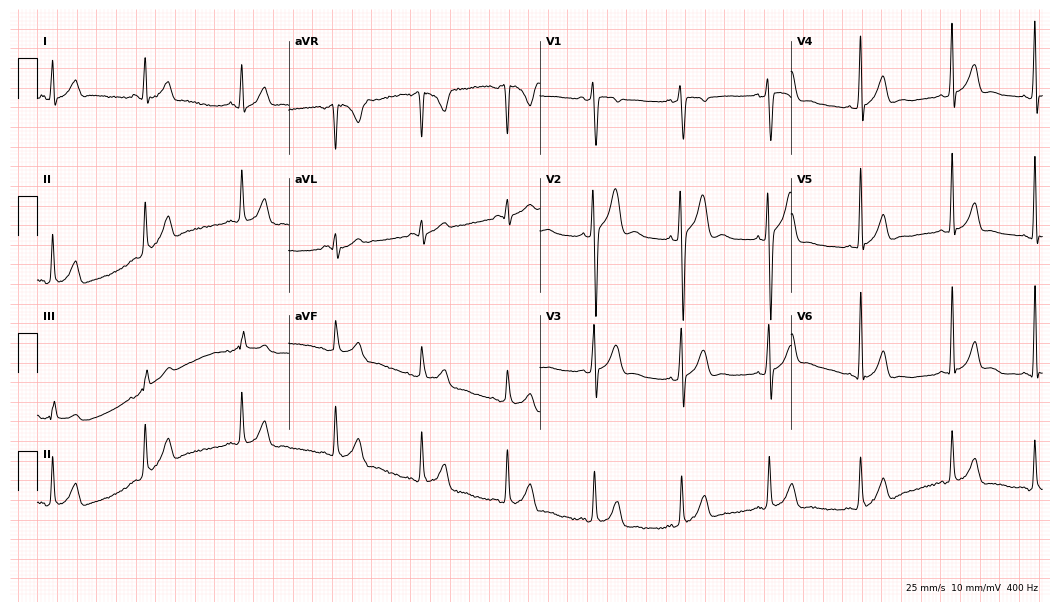
12-lead ECG from a 17-year-old man. Recorded interpretation: within normal limits.